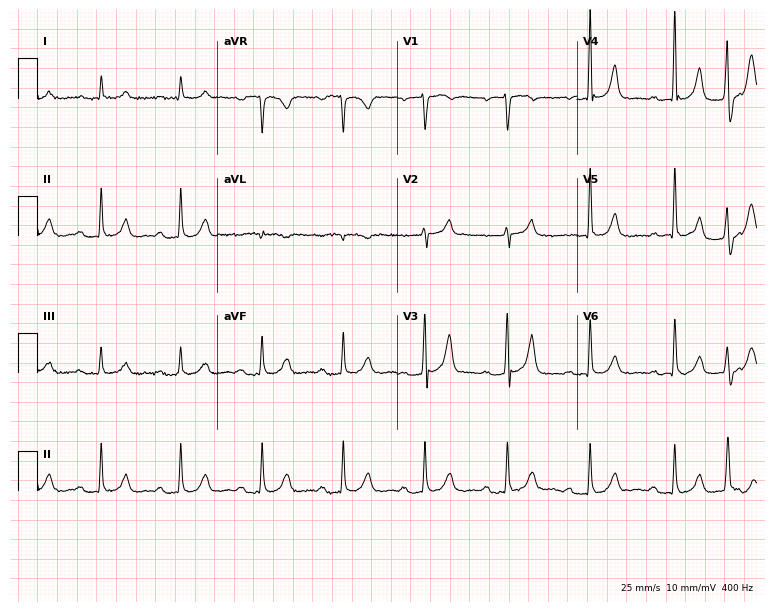
12-lead ECG from an 83-year-old male. Labelled as a normal ECG.